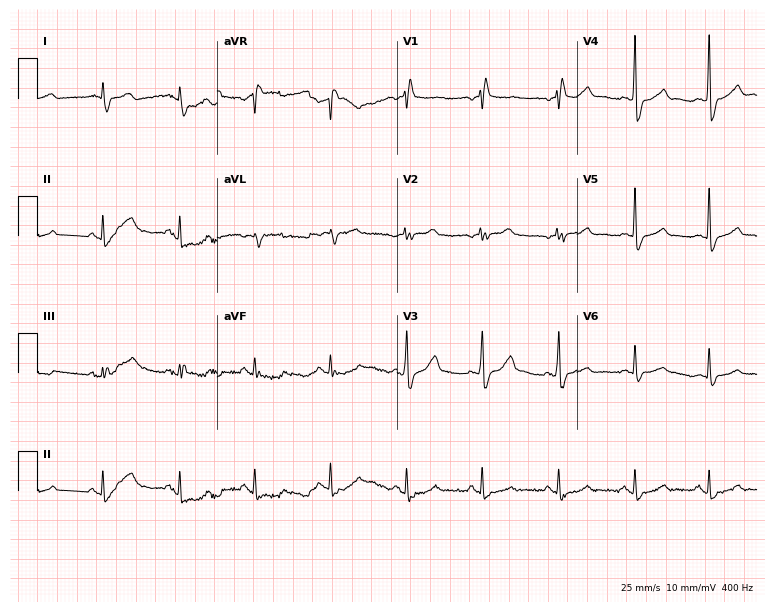
ECG — a male, 76 years old. Screened for six findings — first-degree AV block, right bundle branch block, left bundle branch block, sinus bradycardia, atrial fibrillation, sinus tachycardia — none is recorded.